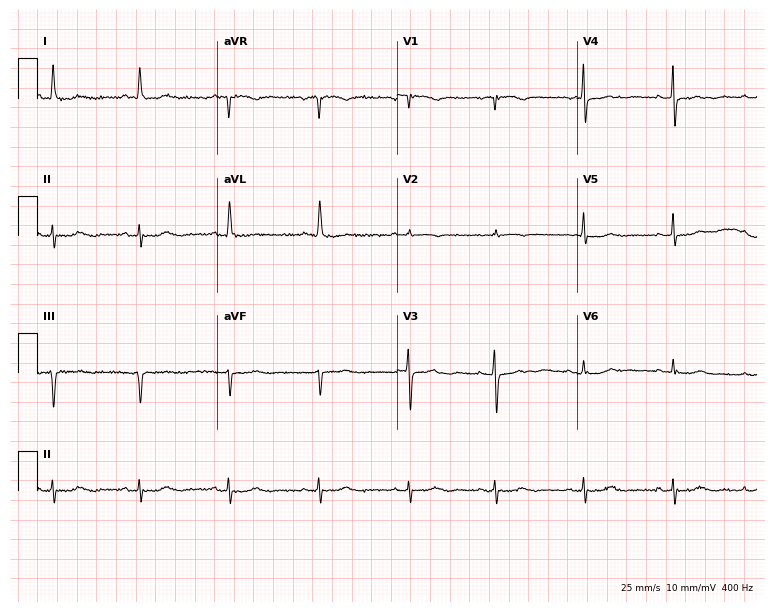
ECG (7.3-second recording at 400 Hz) — a female patient, 84 years old. Screened for six findings — first-degree AV block, right bundle branch block, left bundle branch block, sinus bradycardia, atrial fibrillation, sinus tachycardia — none is recorded. Findings outside these six are not listed.